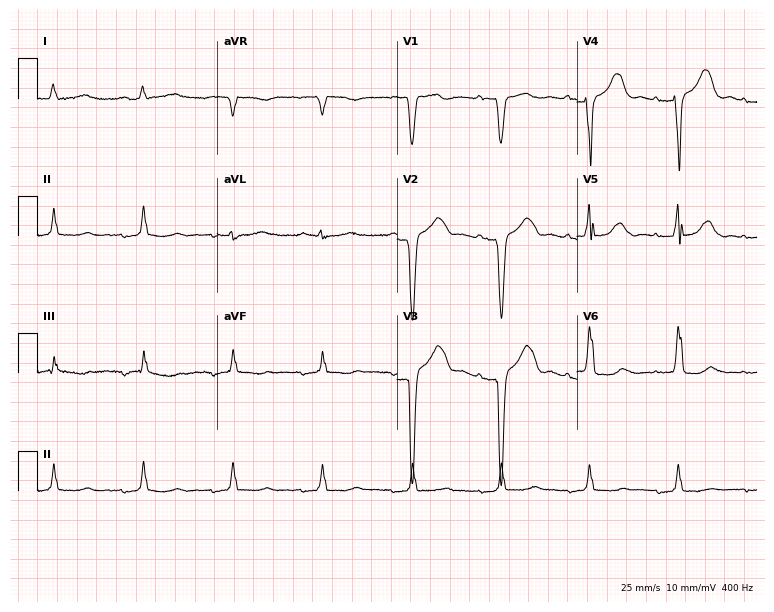
Resting 12-lead electrocardiogram (7.3-second recording at 400 Hz). Patient: a male, 73 years old. None of these six findings is recorded: first-degree AV block, right bundle branch block, left bundle branch block, sinus bradycardia, atrial fibrillation, sinus tachycardia. Findings outside these six are not listed.